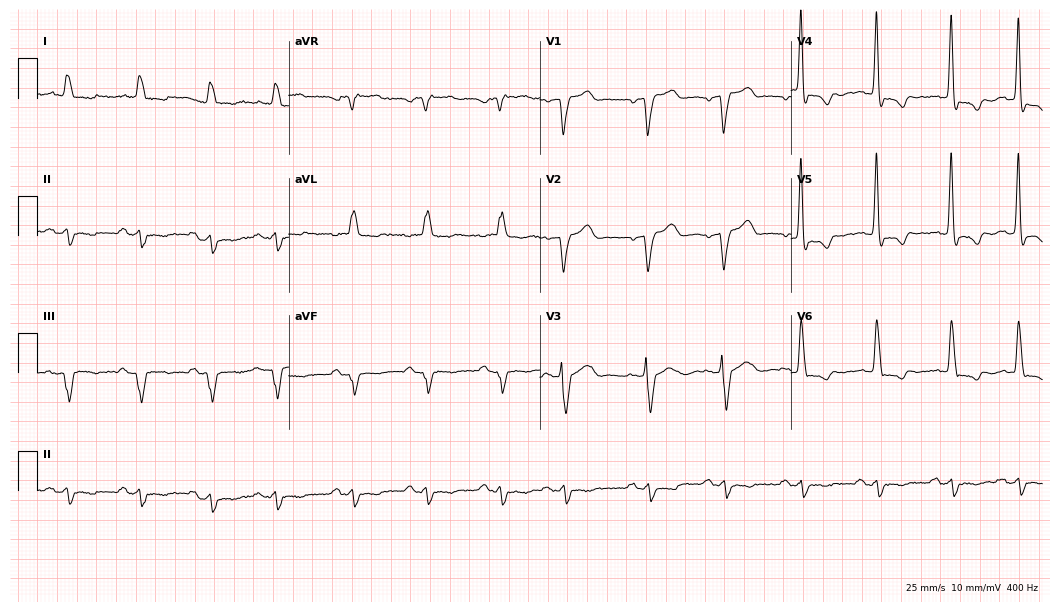
ECG (10.2-second recording at 400 Hz) — a male, 78 years old. Screened for six findings — first-degree AV block, right bundle branch block (RBBB), left bundle branch block (LBBB), sinus bradycardia, atrial fibrillation (AF), sinus tachycardia — none is recorded. Findings outside these six are not listed.